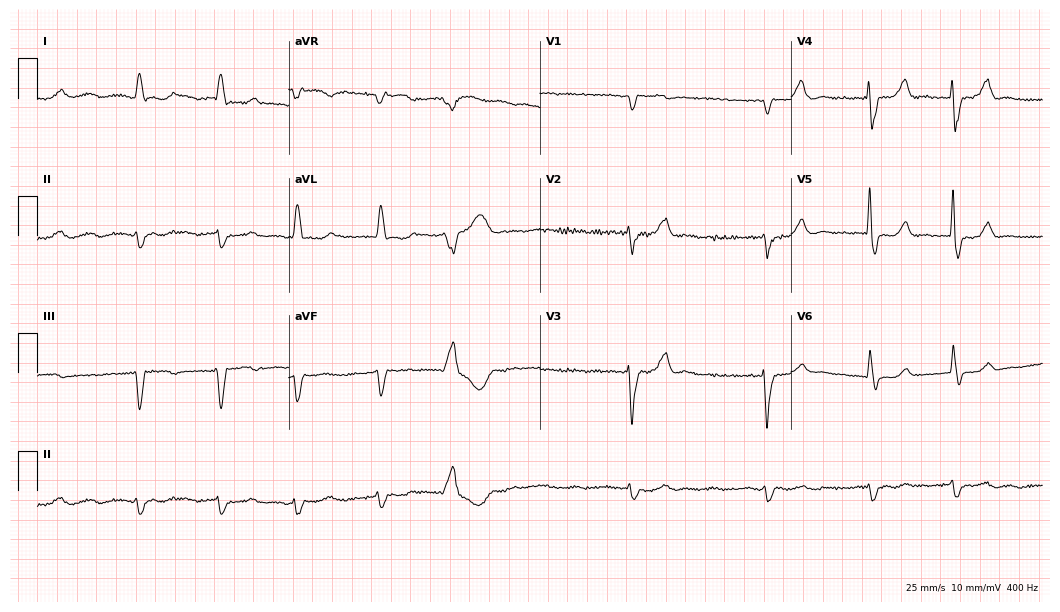
ECG — an 82-year-old man. Findings include atrial fibrillation.